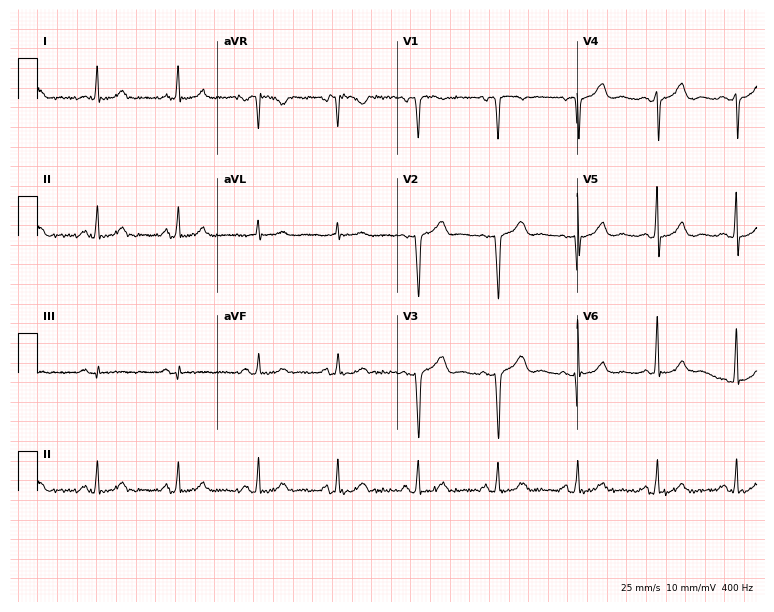
Standard 12-lead ECG recorded from a 50-year-old woman. Read as a normal ECG.